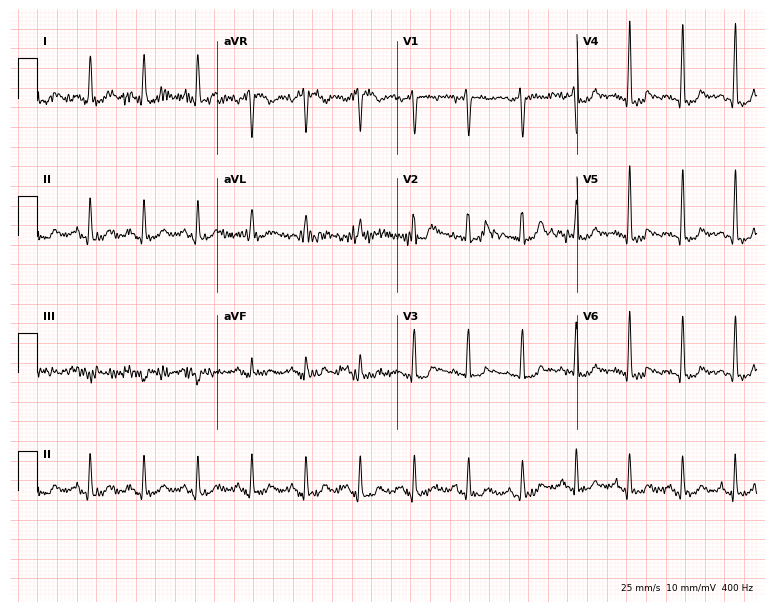
12-lead ECG from a 49-year-old female. Shows sinus tachycardia (a sinus rate of 100 beats per minute or more).